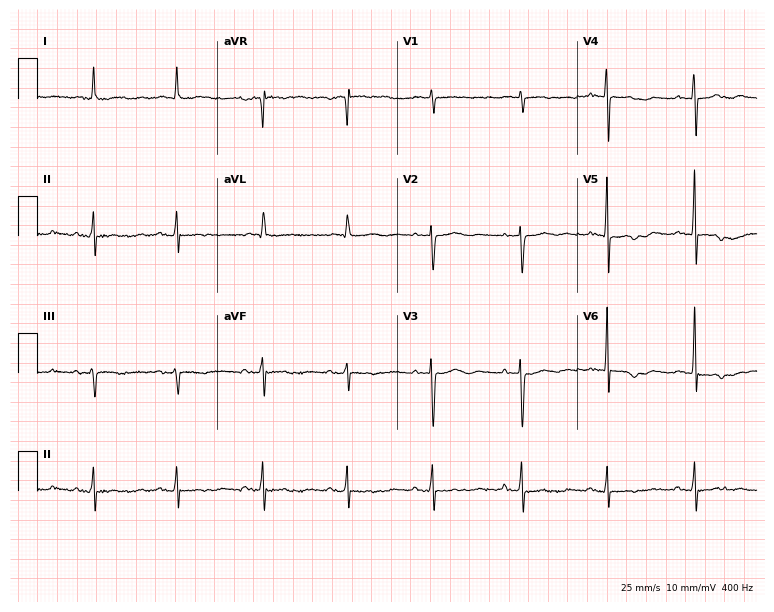
12-lead ECG from a female patient, 74 years old (7.3-second recording at 400 Hz). No first-degree AV block, right bundle branch block, left bundle branch block, sinus bradycardia, atrial fibrillation or sinus tachycardia recorded for this tracing. Other findings, if any, are not listed.